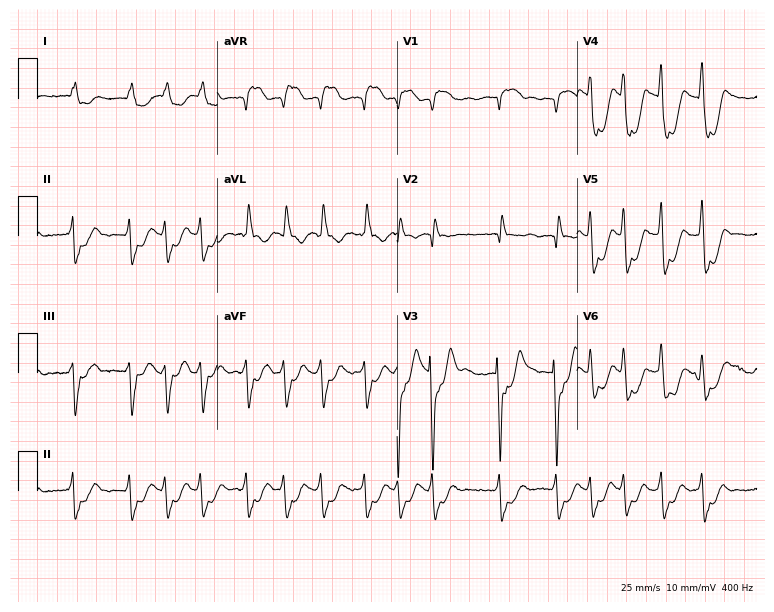
12-lead ECG from a 76-year-old woman. Findings include right bundle branch block, atrial fibrillation.